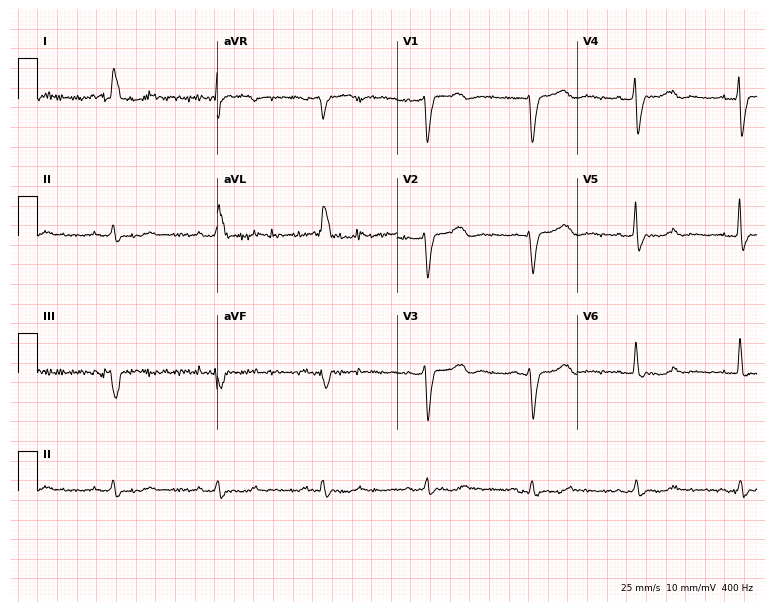
Resting 12-lead electrocardiogram. Patient: a female, 83 years old. None of these six findings is recorded: first-degree AV block, right bundle branch block, left bundle branch block, sinus bradycardia, atrial fibrillation, sinus tachycardia. Findings outside these six are not listed.